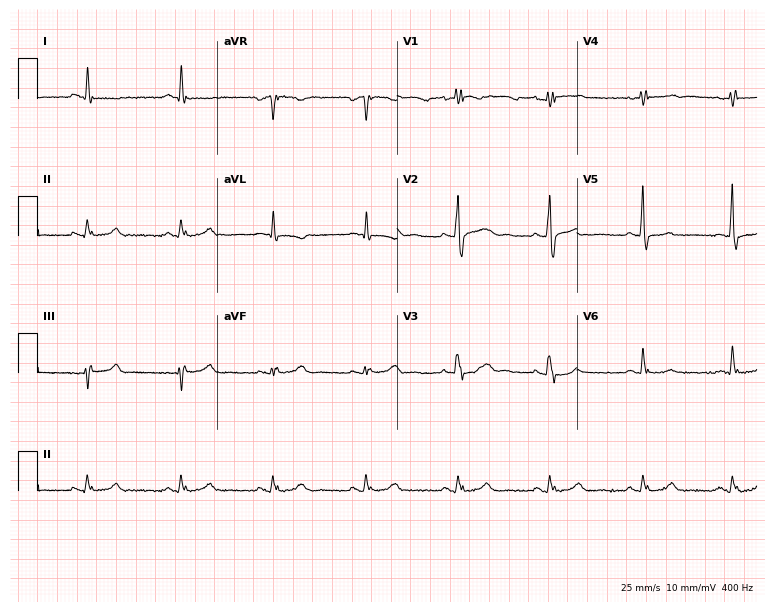
12-lead ECG from a 60-year-old male patient (7.3-second recording at 400 Hz). No first-degree AV block, right bundle branch block, left bundle branch block, sinus bradycardia, atrial fibrillation or sinus tachycardia recorded for this tracing.